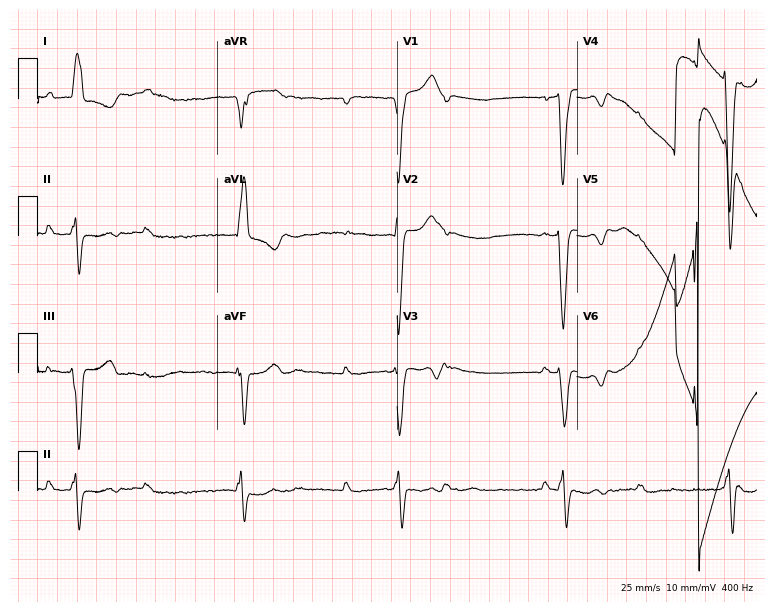
Electrocardiogram, a female, 76 years old. Of the six screened findings (first-degree AV block, right bundle branch block, left bundle branch block, sinus bradycardia, atrial fibrillation, sinus tachycardia), none is recorded. Findings outside these six are not listed.